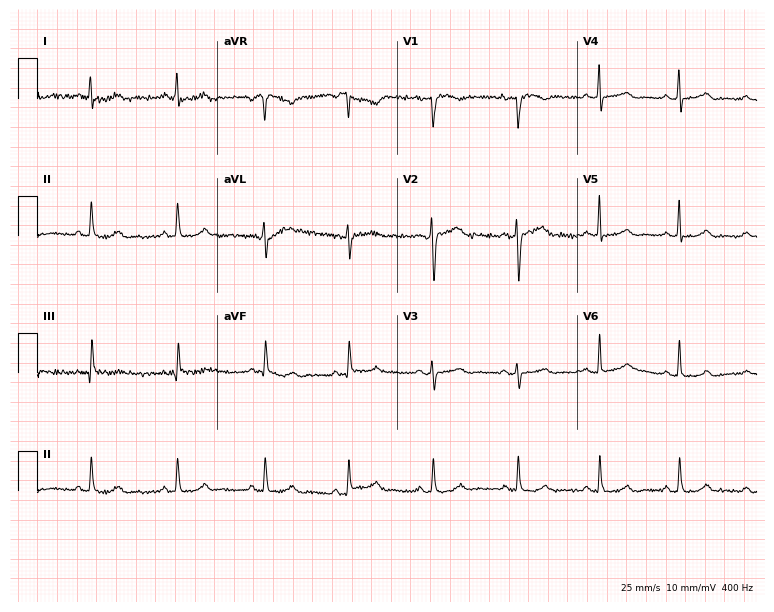
Electrocardiogram, a woman, 59 years old. Overall reading on record: normal ECG.